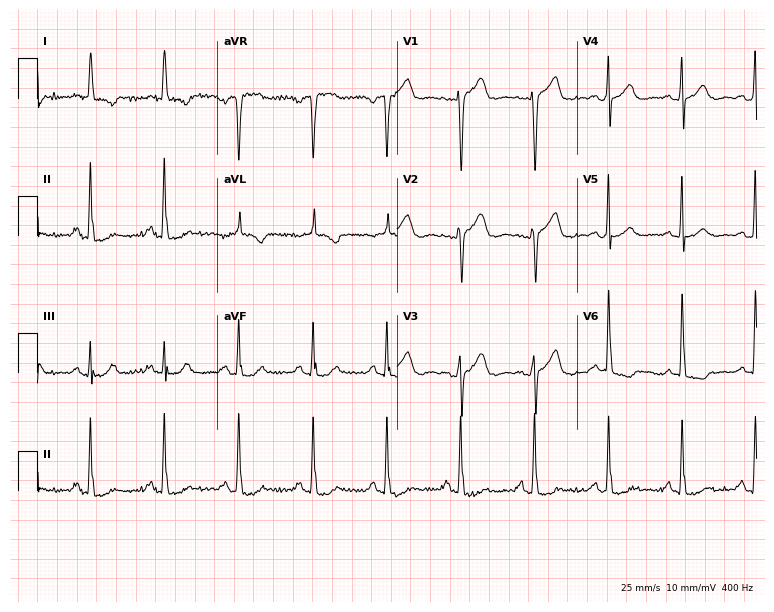
ECG (7.3-second recording at 400 Hz) — a 77-year-old female patient. Screened for six findings — first-degree AV block, right bundle branch block (RBBB), left bundle branch block (LBBB), sinus bradycardia, atrial fibrillation (AF), sinus tachycardia — none is recorded.